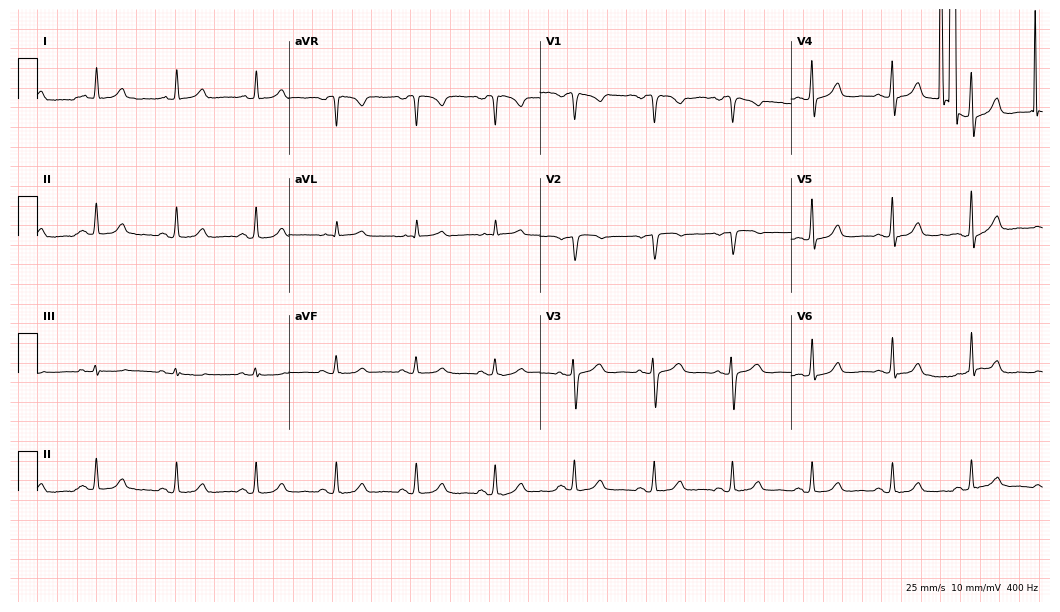
Electrocardiogram (10.2-second recording at 400 Hz), a 59-year-old woman. Of the six screened findings (first-degree AV block, right bundle branch block, left bundle branch block, sinus bradycardia, atrial fibrillation, sinus tachycardia), none is recorded. Other findings, if any, are not listed.